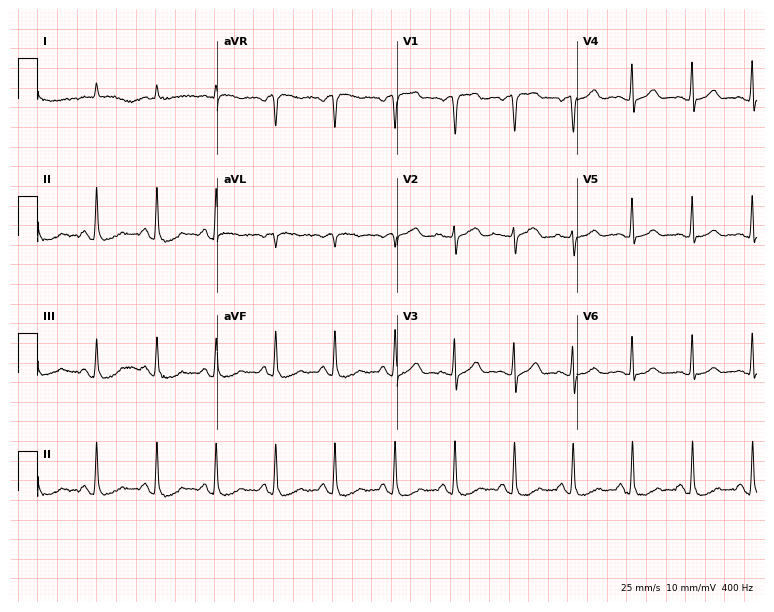
Electrocardiogram (7.3-second recording at 400 Hz), a 71-year-old male patient. Of the six screened findings (first-degree AV block, right bundle branch block (RBBB), left bundle branch block (LBBB), sinus bradycardia, atrial fibrillation (AF), sinus tachycardia), none is recorded. Other findings, if any, are not listed.